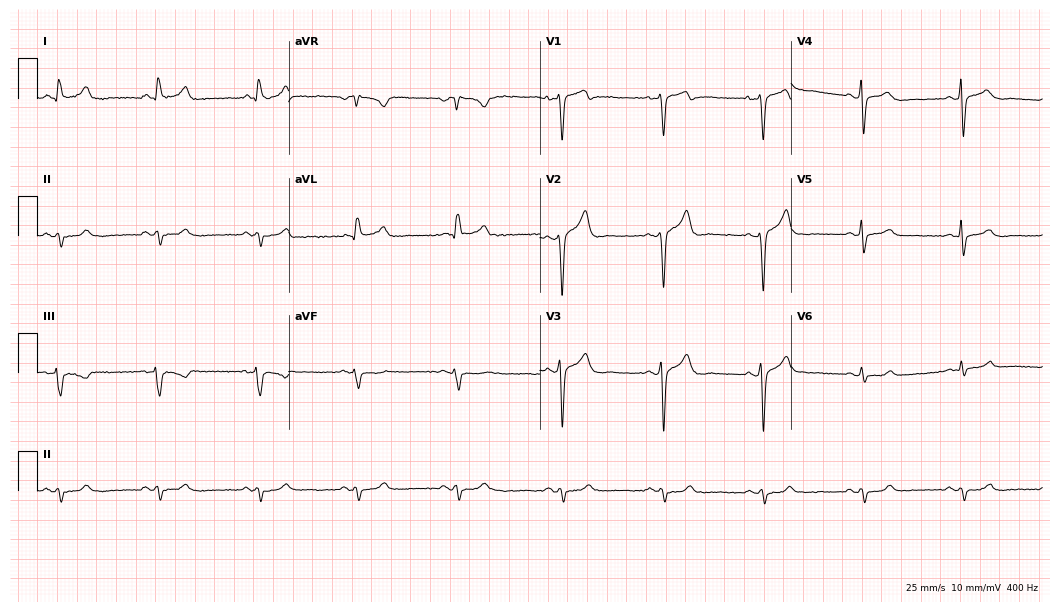
Electrocardiogram (10.2-second recording at 400 Hz), a 47-year-old male. Of the six screened findings (first-degree AV block, right bundle branch block (RBBB), left bundle branch block (LBBB), sinus bradycardia, atrial fibrillation (AF), sinus tachycardia), none is recorded.